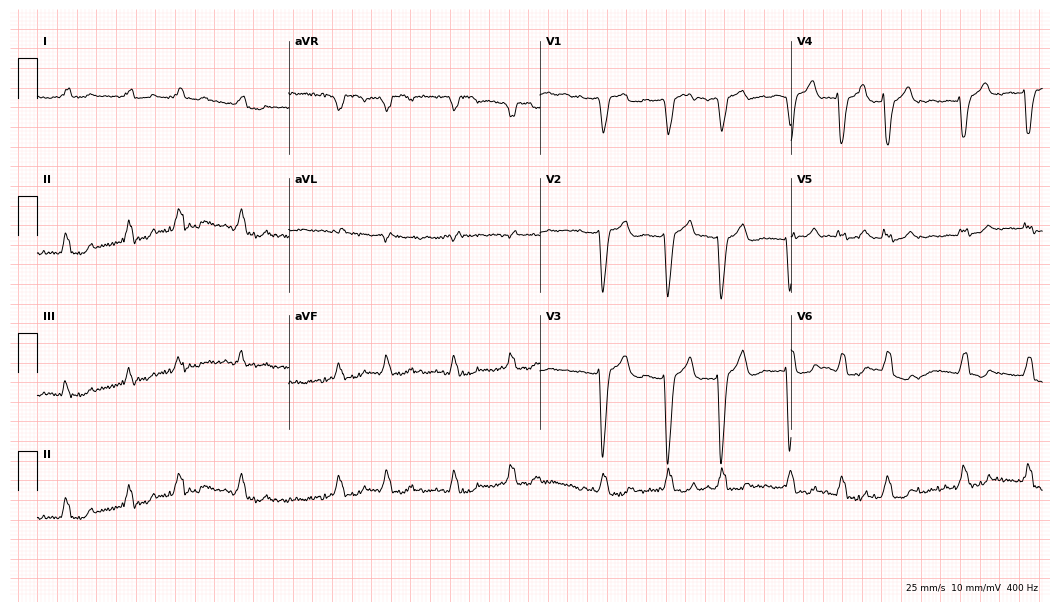
Electrocardiogram, an 81-year-old female patient. Interpretation includes left bundle branch block, atrial fibrillation.